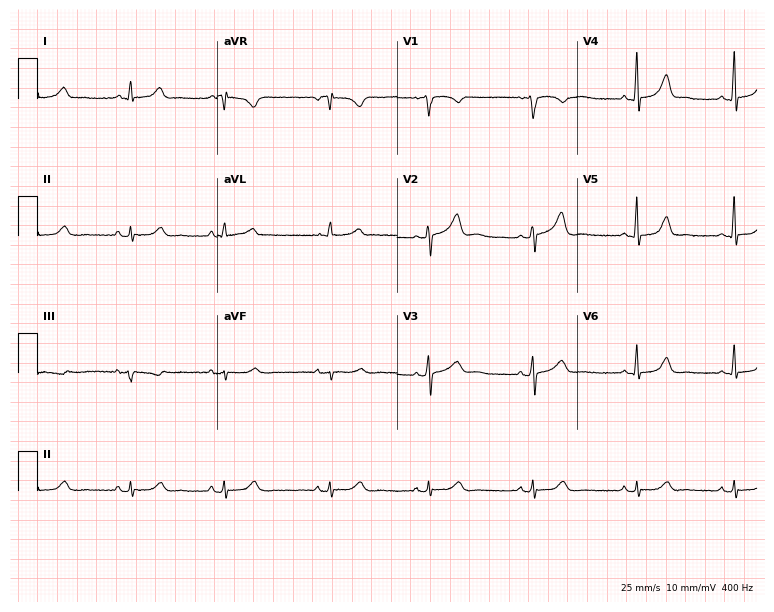
Electrocardiogram (7.3-second recording at 400 Hz), a 59-year-old female patient. Overall reading on record: normal ECG.